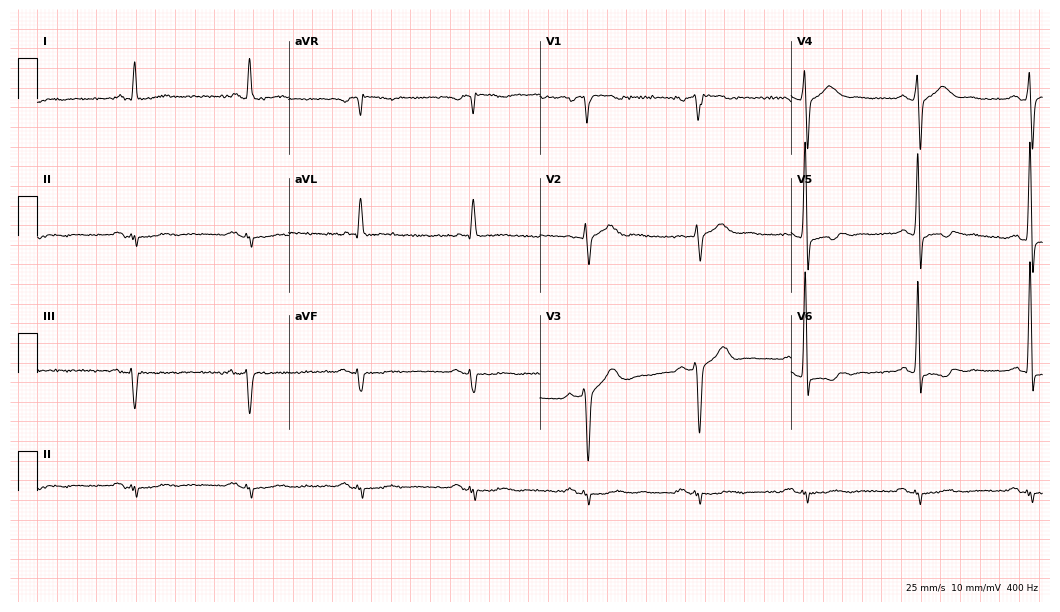
Standard 12-lead ECG recorded from a 74-year-old male (10.2-second recording at 400 Hz). None of these six findings is recorded: first-degree AV block, right bundle branch block, left bundle branch block, sinus bradycardia, atrial fibrillation, sinus tachycardia.